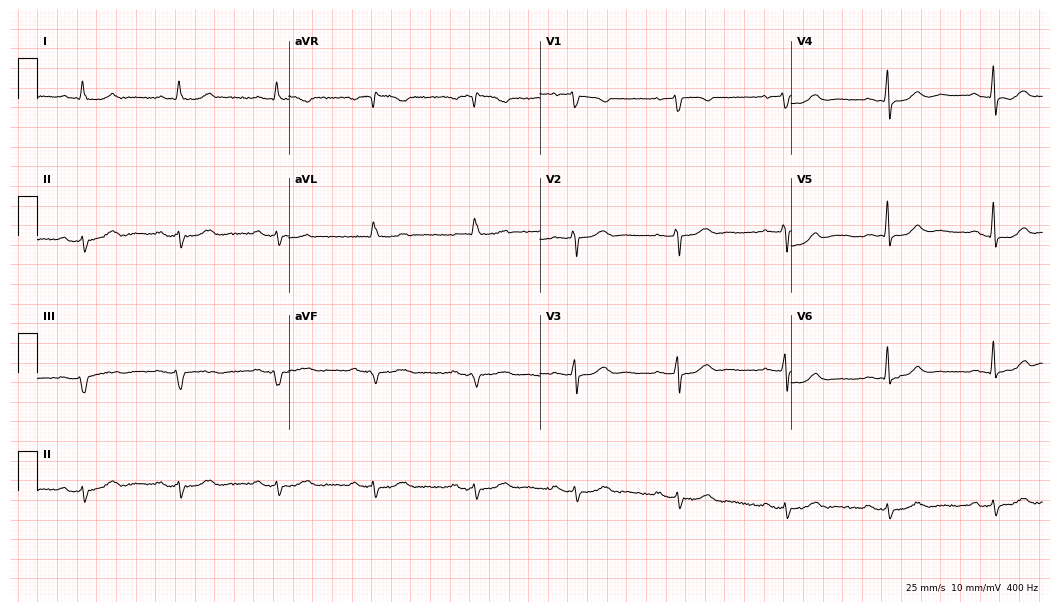
Standard 12-lead ECG recorded from a 68-year-old female. The tracing shows first-degree AV block.